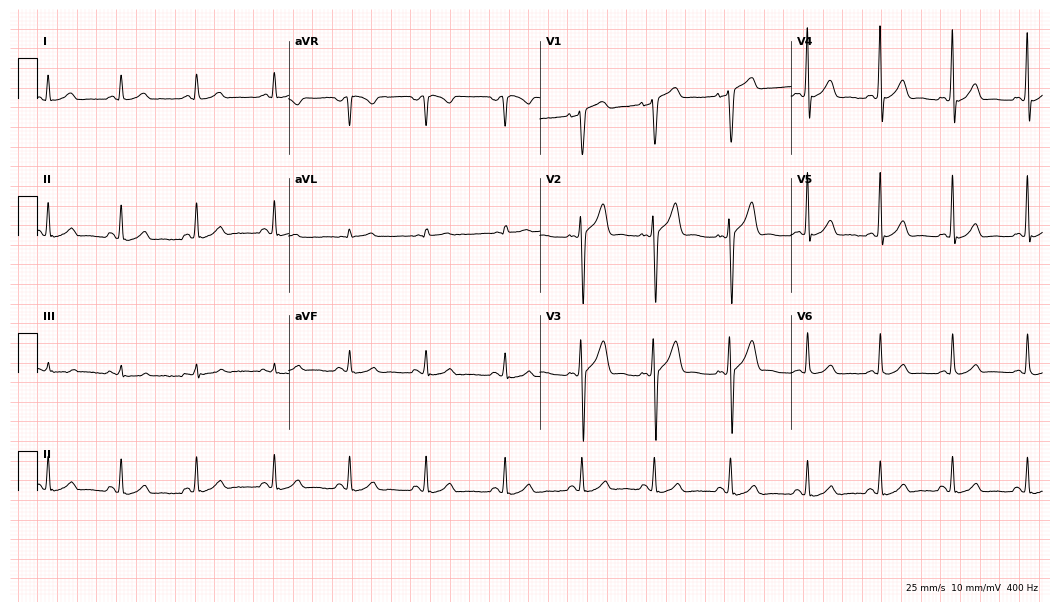
12-lead ECG from a male, 28 years old. Labelled as a normal ECG.